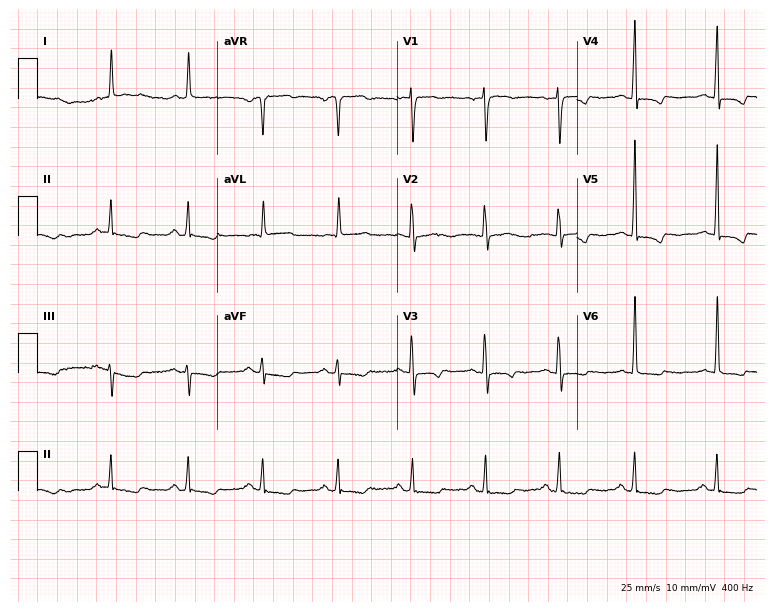
12-lead ECG from a female, 71 years old. No first-degree AV block, right bundle branch block (RBBB), left bundle branch block (LBBB), sinus bradycardia, atrial fibrillation (AF) or sinus tachycardia recorded for this tracing.